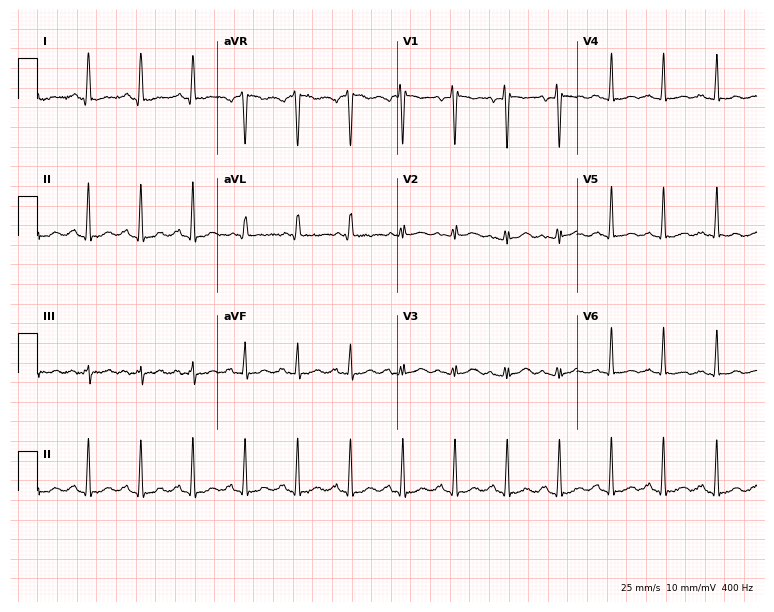
Resting 12-lead electrocardiogram (7.3-second recording at 400 Hz). Patient: a 29-year-old female. The tracing shows sinus tachycardia (a sinus rate of 100 beats per minute or more).